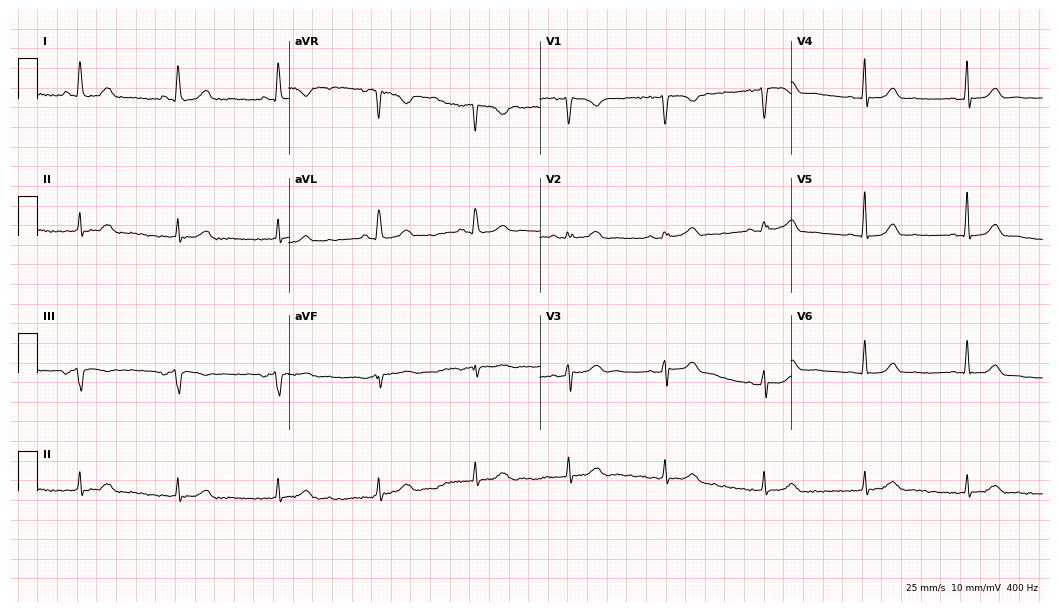
12-lead ECG from a 77-year-old female. Screened for six findings — first-degree AV block, right bundle branch block, left bundle branch block, sinus bradycardia, atrial fibrillation, sinus tachycardia — none is recorded. Only these six findings were labelled.